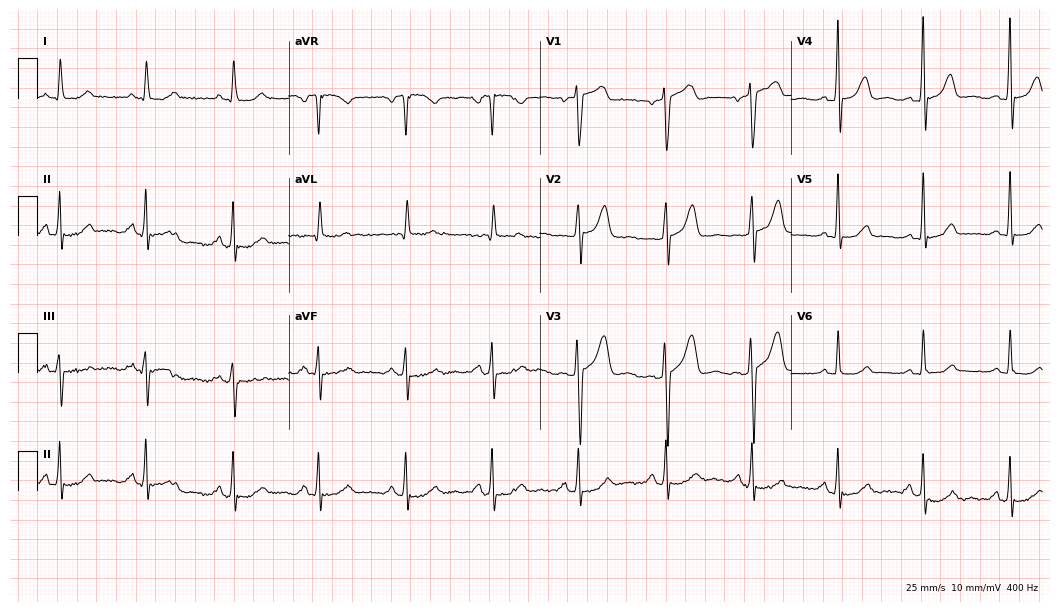
12-lead ECG from an 84-year-old man (10.2-second recording at 400 Hz). No first-degree AV block, right bundle branch block, left bundle branch block, sinus bradycardia, atrial fibrillation or sinus tachycardia recorded for this tracing. Findings outside these six are not listed.